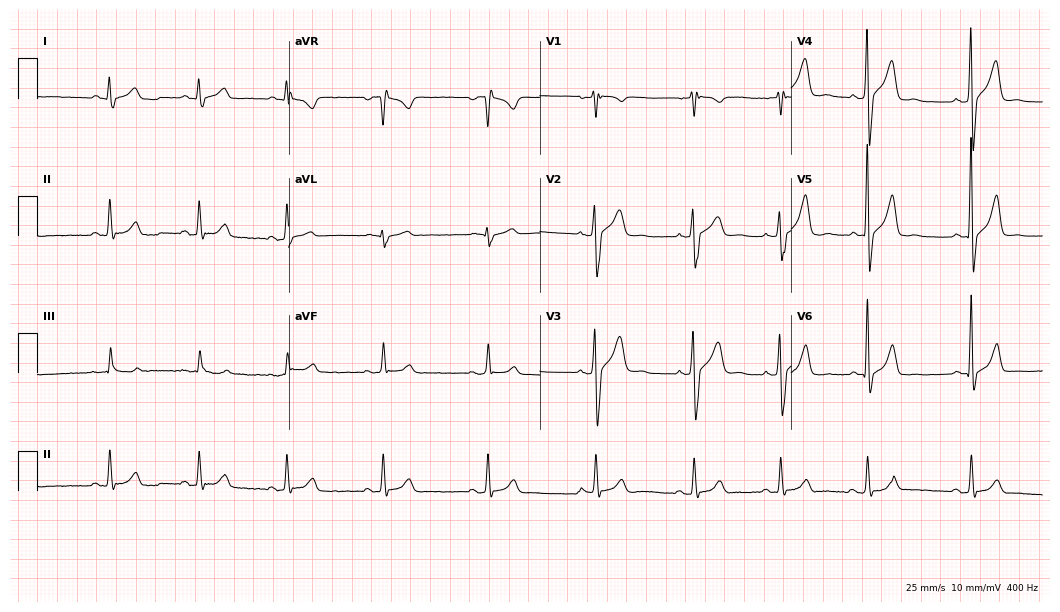
ECG — a man, 26 years old. Labelled as a normal ECG.